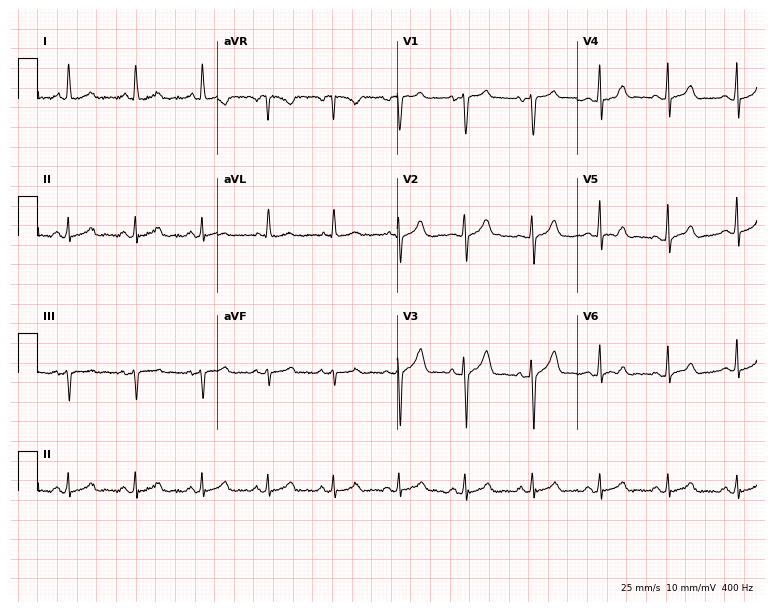
Standard 12-lead ECG recorded from a 44-year-old male patient (7.3-second recording at 400 Hz). Read as a normal ECG.